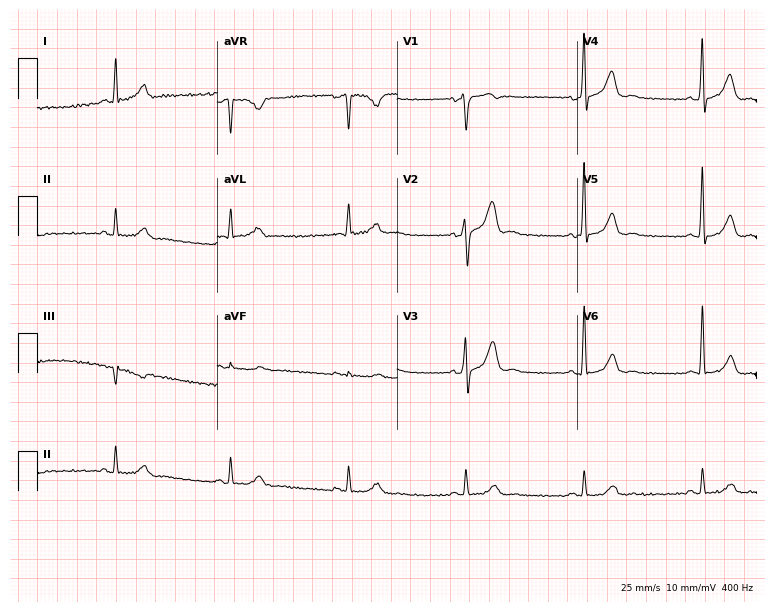
12-lead ECG (7.3-second recording at 400 Hz) from a 60-year-old male. Screened for six findings — first-degree AV block, right bundle branch block, left bundle branch block, sinus bradycardia, atrial fibrillation, sinus tachycardia — none is recorded.